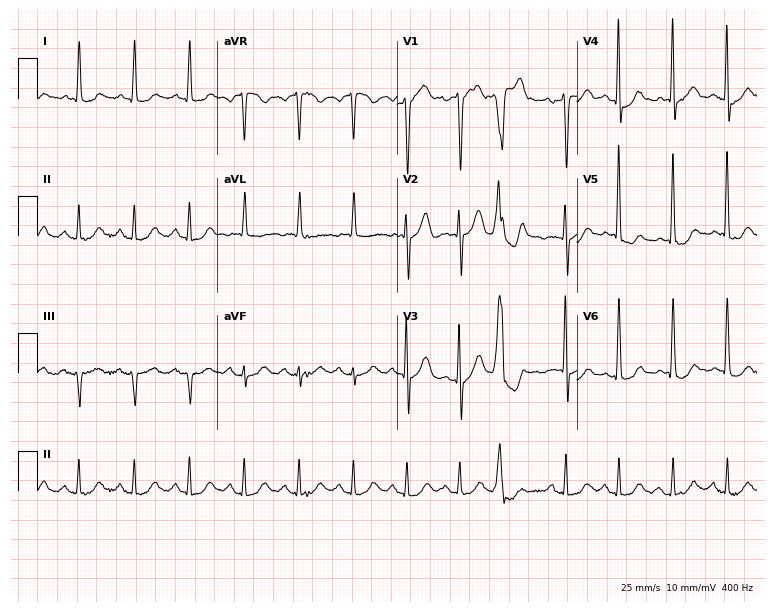
12-lead ECG from a male patient, 86 years old. Findings include sinus tachycardia (a sinus rate of 100 beats per minute or more).